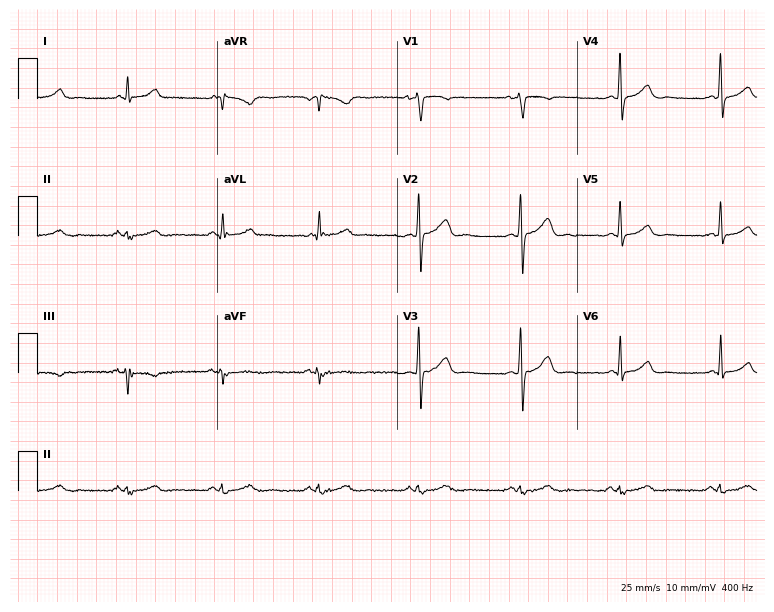
ECG (7.3-second recording at 400 Hz) — a man, 35 years old. Labelled as a normal ECG.